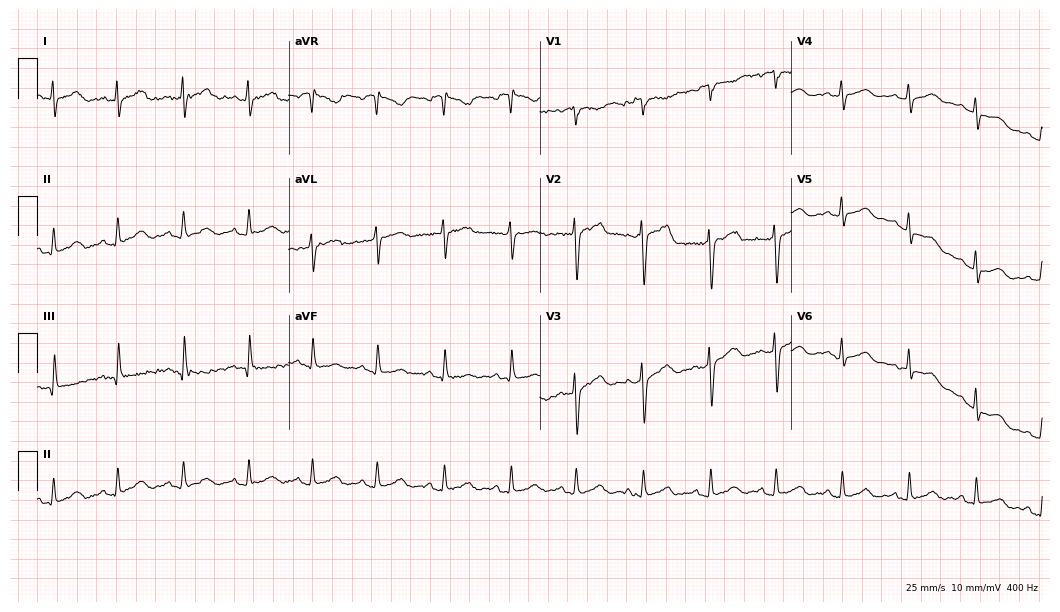
12-lead ECG from a 32-year-old female (10.2-second recording at 400 Hz). Recorded interpretation: within normal limits.